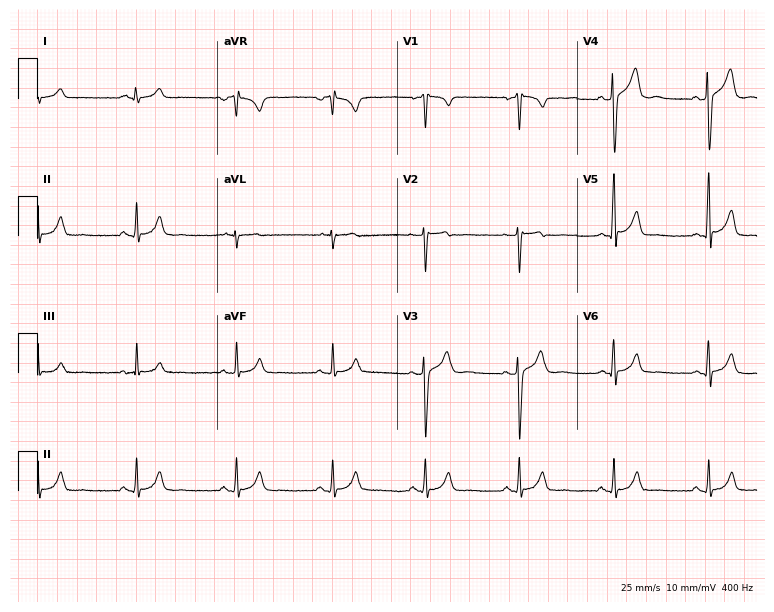
ECG (7.3-second recording at 400 Hz) — a 28-year-old male. Screened for six findings — first-degree AV block, right bundle branch block, left bundle branch block, sinus bradycardia, atrial fibrillation, sinus tachycardia — none is recorded. Findings outside these six are not listed.